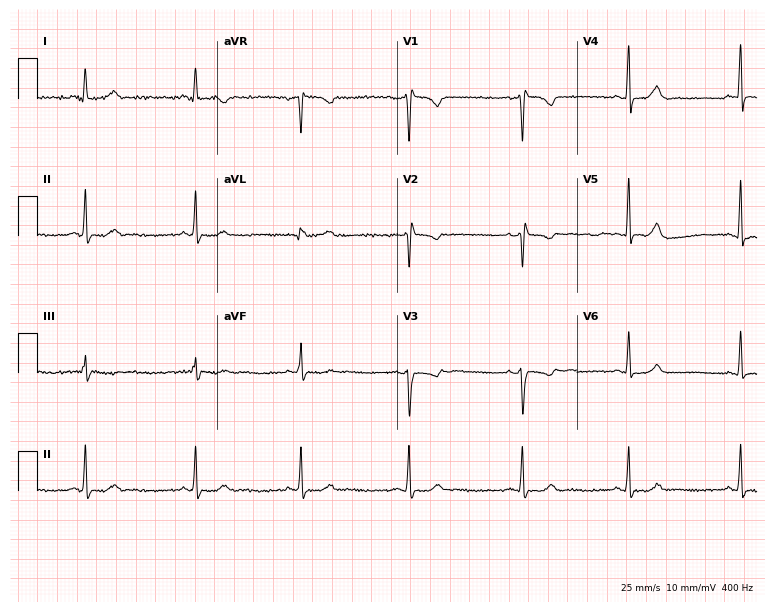
ECG — a 24-year-old woman. Screened for six findings — first-degree AV block, right bundle branch block, left bundle branch block, sinus bradycardia, atrial fibrillation, sinus tachycardia — none is recorded.